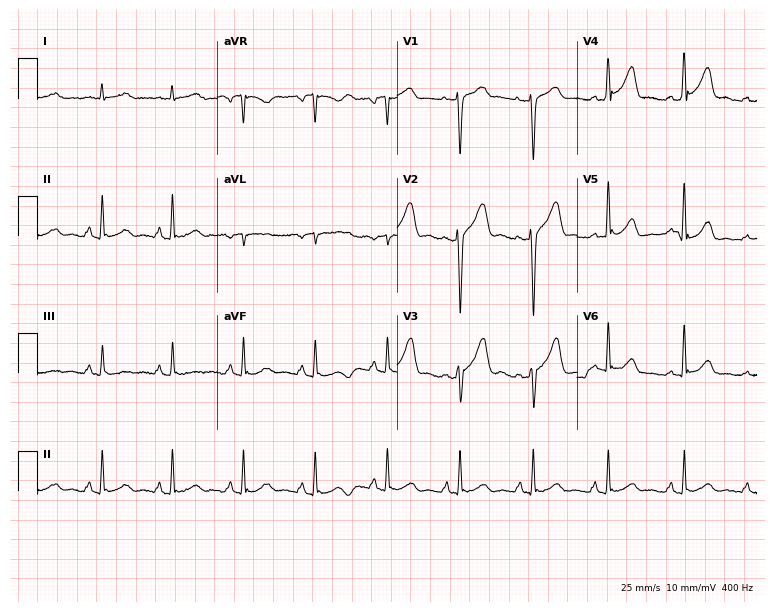
Standard 12-lead ECG recorded from a 44-year-old man (7.3-second recording at 400 Hz). None of these six findings is recorded: first-degree AV block, right bundle branch block (RBBB), left bundle branch block (LBBB), sinus bradycardia, atrial fibrillation (AF), sinus tachycardia. Only these six findings were labelled.